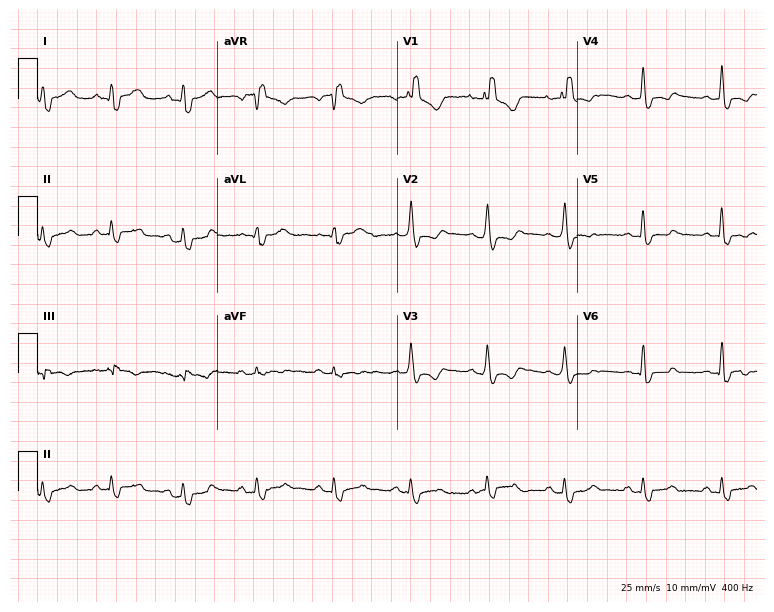
12-lead ECG from a female, 36 years old. Shows right bundle branch block.